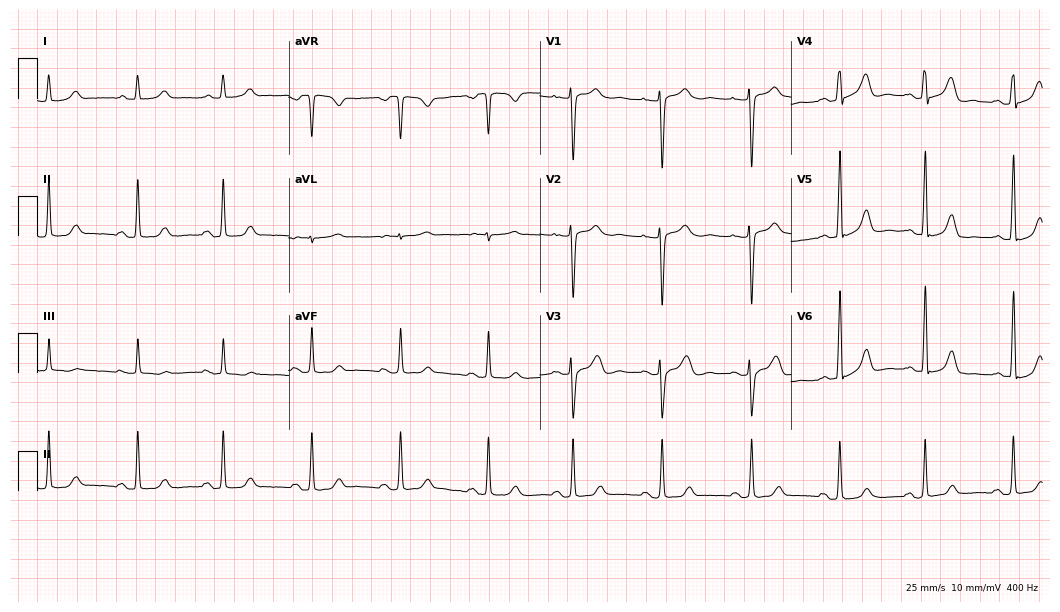
12-lead ECG from a 37-year-old woman. Labelled as a normal ECG.